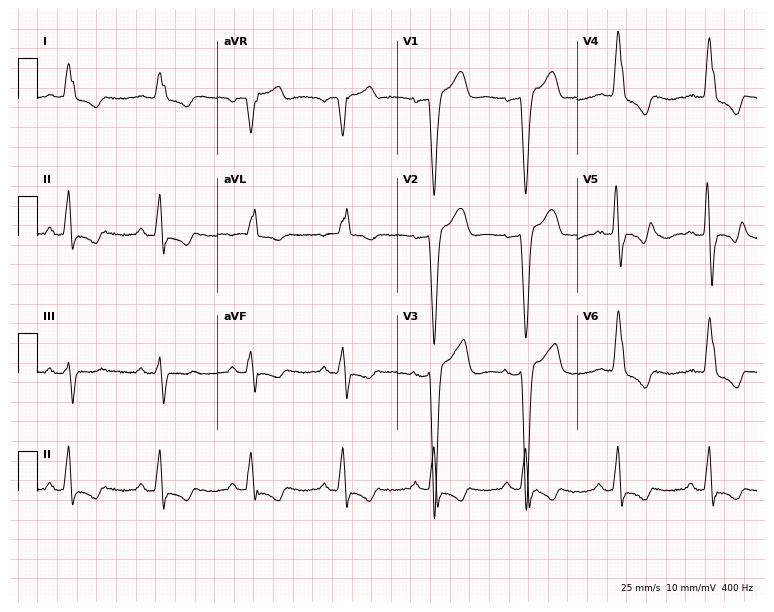
Standard 12-lead ECG recorded from a 78-year-old woman (7.3-second recording at 400 Hz). The tracing shows left bundle branch block (LBBB).